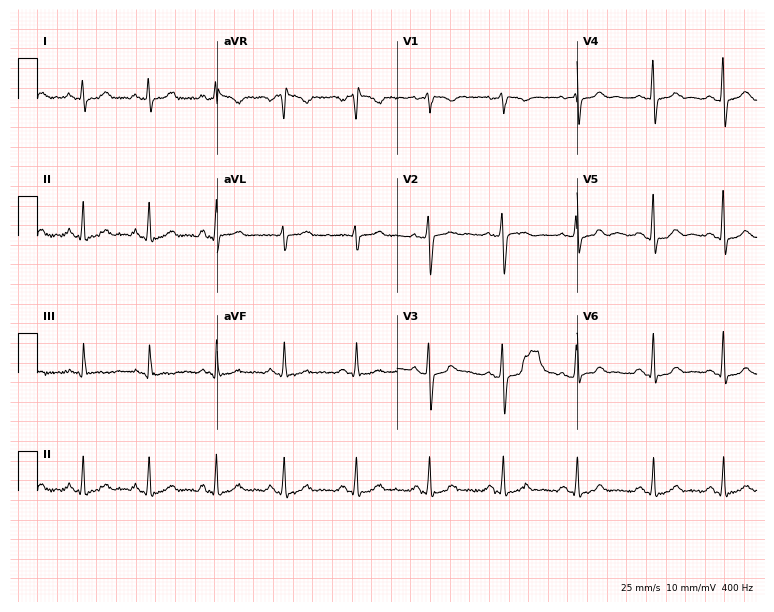
Electrocardiogram (7.3-second recording at 400 Hz), a 26-year-old female. Of the six screened findings (first-degree AV block, right bundle branch block, left bundle branch block, sinus bradycardia, atrial fibrillation, sinus tachycardia), none is recorded. Only these six findings were labelled.